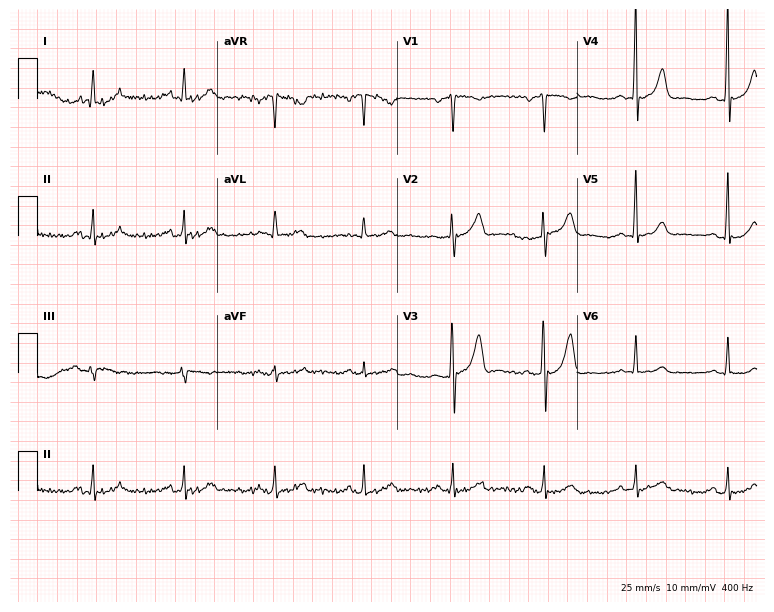
Resting 12-lead electrocardiogram. Patient: a male, 68 years old. None of these six findings is recorded: first-degree AV block, right bundle branch block, left bundle branch block, sinus bradycardia, atrial fibrillation, sinus tachycardia. Only these six findings were labelled.